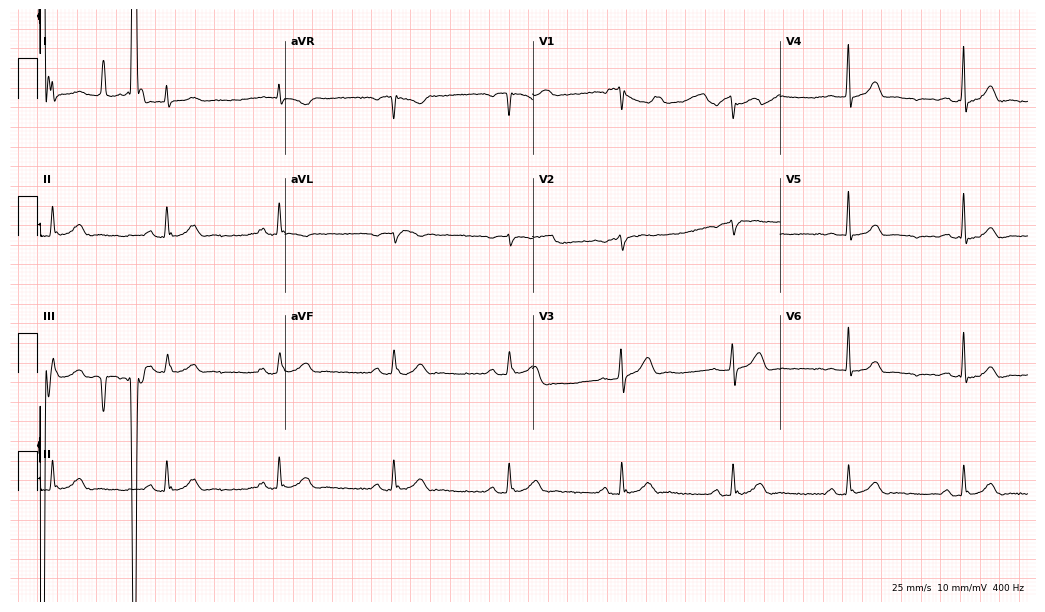
12-lead ECG (10.1-second recording at 400 Hz) from a 78-year-old male. Screened for six findings — first-degree AV block, right bundle branch block (RBBB), left bundle branch block (LBBB), sinus bradycardia, atrial fibrillation (AF), sinus tachycardia — none is recorded. Other findings, if any, are not listed.